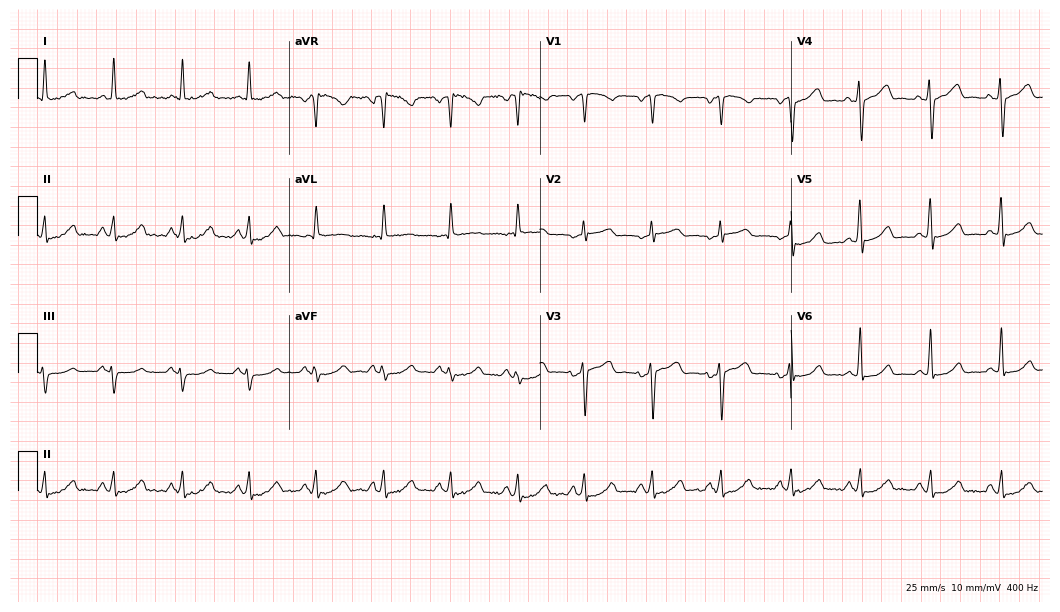
Electrocardiogram (10.2-second recording at 400 Hz), a woman, 48 years old. Overall reading on record: normal ECG.